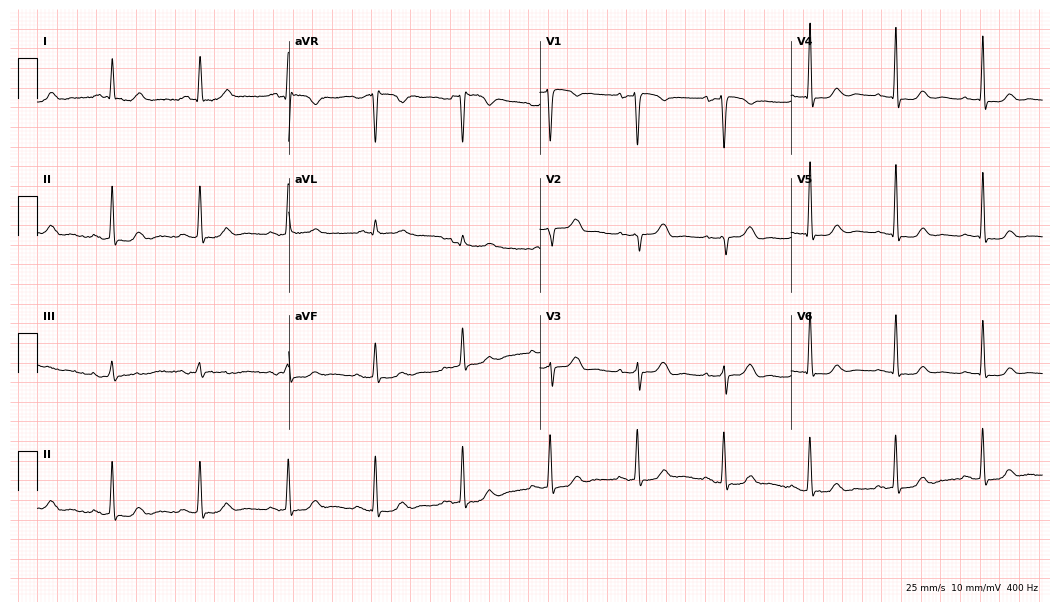
Standard 12-lead ECG recorded from a female, 75 years old. Read as a normal ECG.